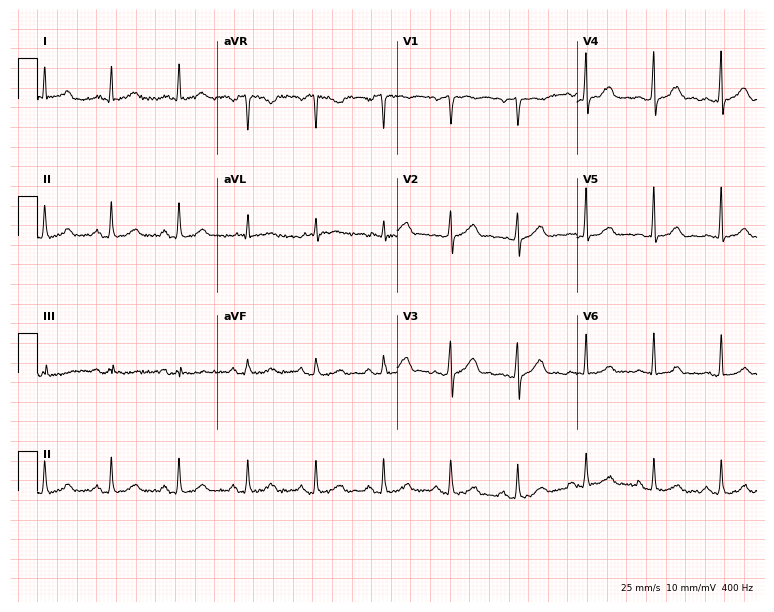
ECG (7.3-second recording at 400 Hz) — a 44-year-old man. Screened for six findings — first-degree AV block, right bundle branch block, left bundle branch block, sinus bradycardia, atrial fibrillation, sinus tachycardia — none is recorded.